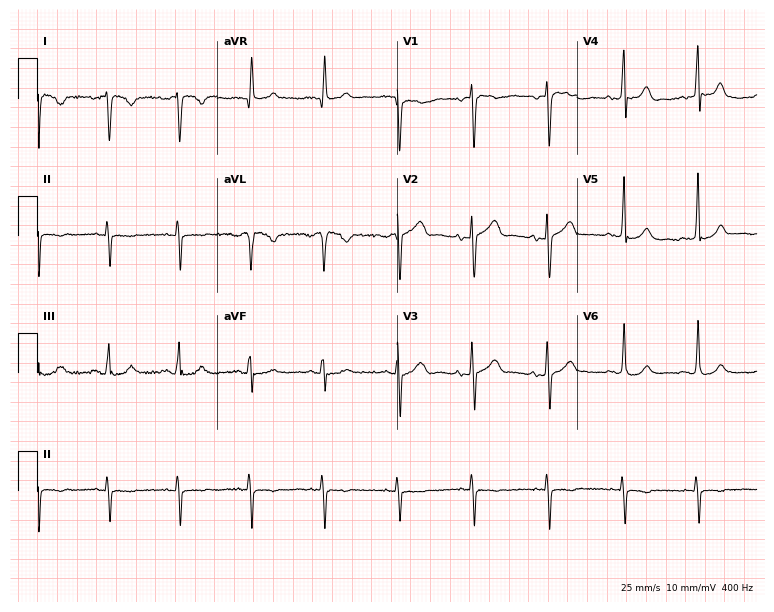
Standard 12-lead ECG recorded from a 48-year-old female. None of these six findings is recorded: first-degree AV block, right bundle branch block (RBBB), left bundle branch block (LBBB), sinus bradycardia, atrial fibrillation (AF), sinus tachycardia.